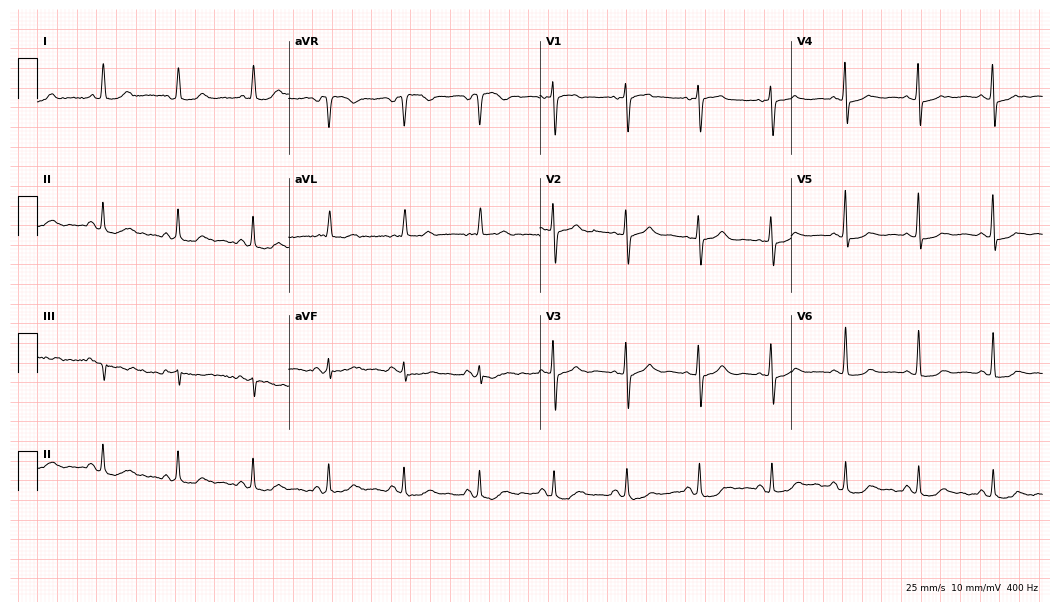
Standard 12-lead ECG recorded from a woman, 81 years old. None of these six findings is recorded: first-degree AV block, right bundle branch block, left bundle branch block, sinus bradycardia, atrial fibrillation, sinus tachycardia. Findings outside these six are not listed.